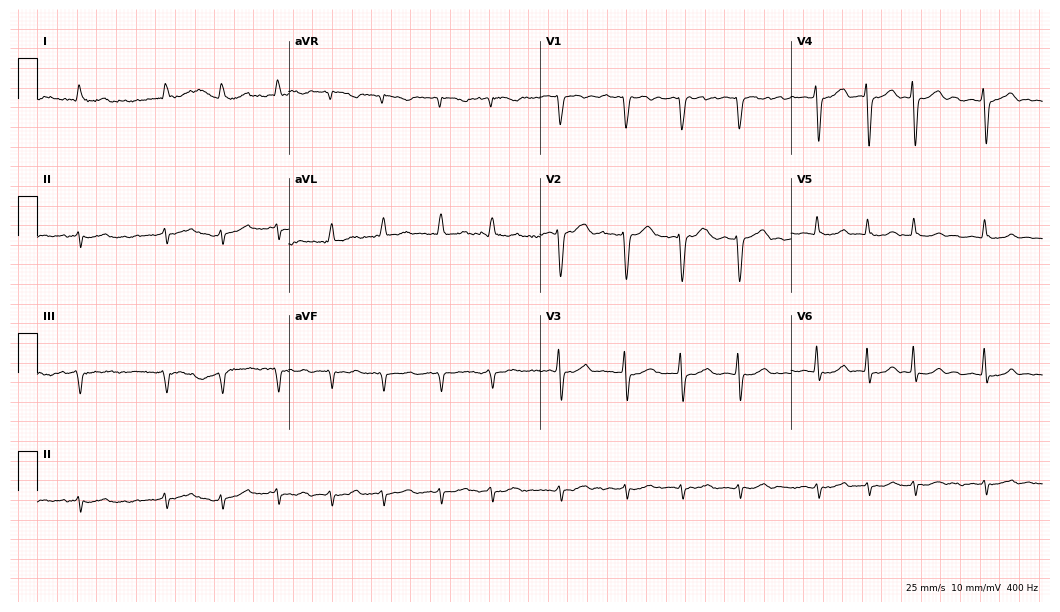
ECG — a male patient, 70 years old. Findings include atrial fibrillation.